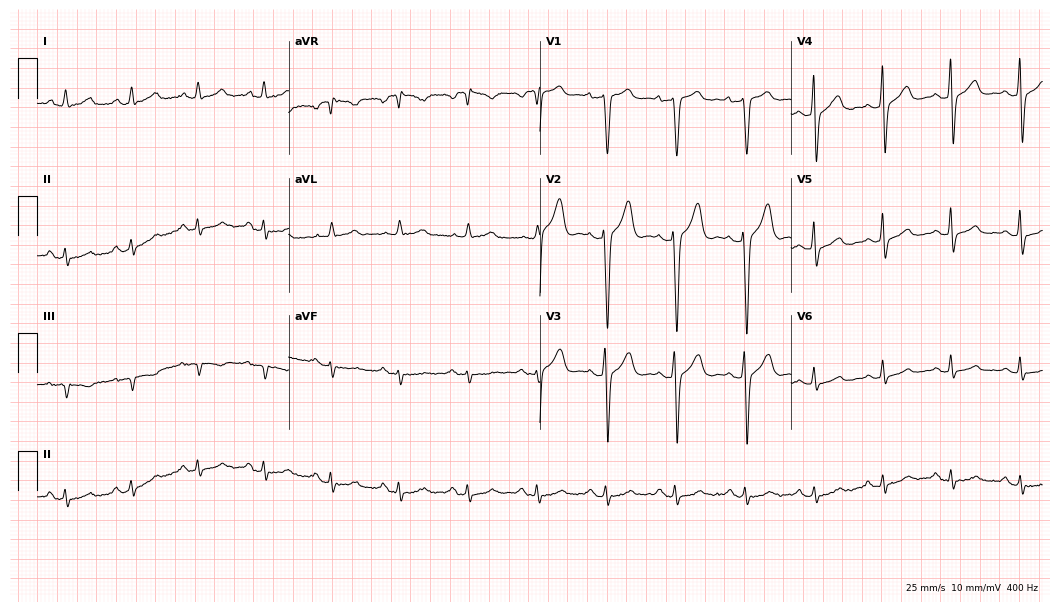
12-lead ECG from a 56-year-old male patient. Recorded interpretation: within normal limits.